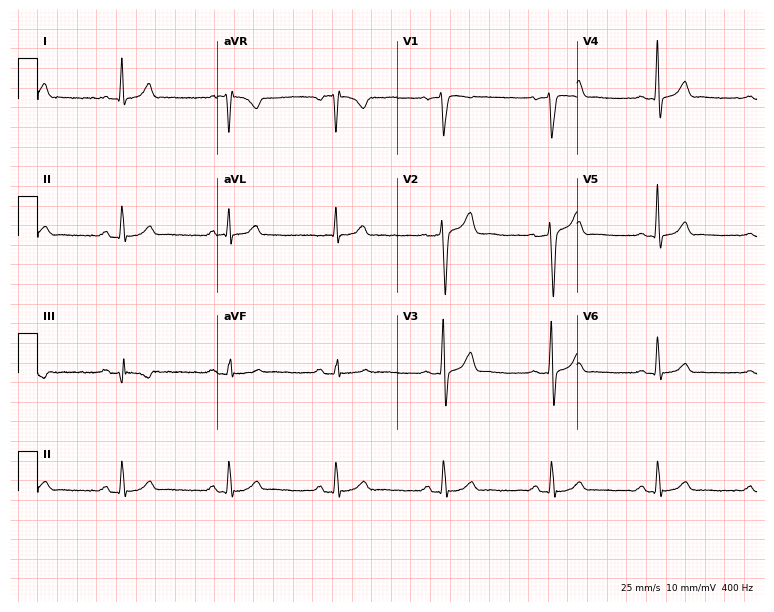
Standard 12-lead ECG recorded from a male patient, 39 years old (7.3-second recording at 400 Hz). Read as a normal ECG.